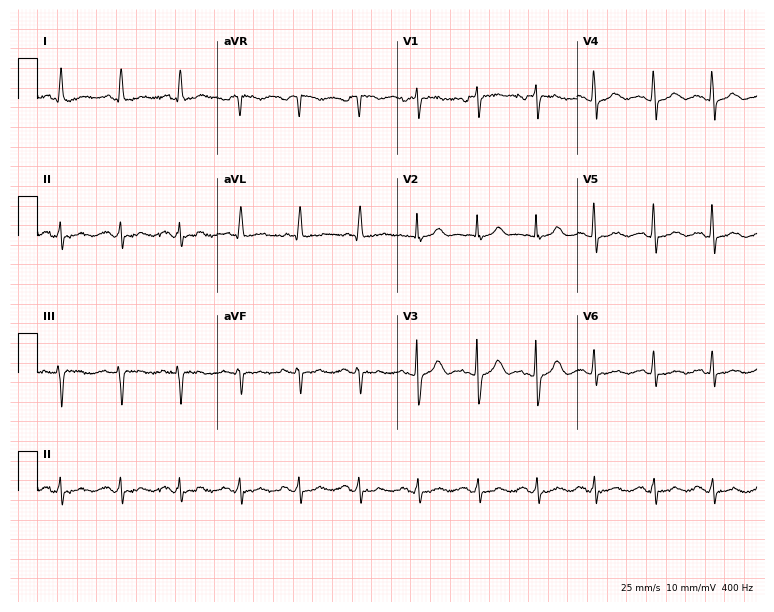
Electrocardiogram, a 77-year-old woman. Of the six screened findings (first-degree AV block, right bundle branch block (RBBB), left bundle branch block (LBBB), sinus bradycardia, atrial fibrillation (AF), sinus tachycardia), none is recorded. Other findings, if any, are not listed.